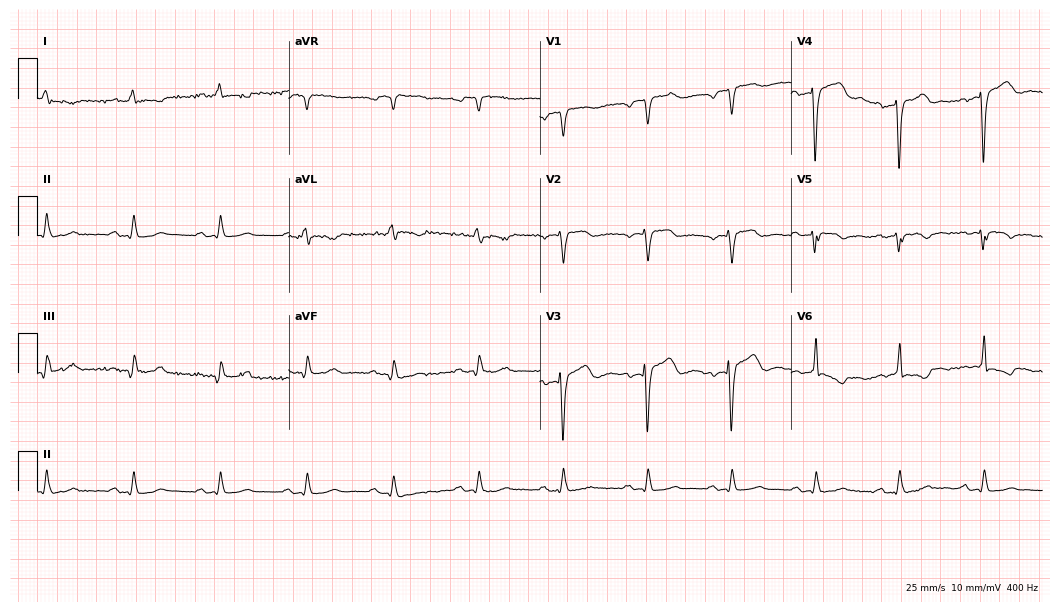
12-lead ECG from a male patient, 80 years old. No first-degree AV block, right bundle branch block, left bundle branch block, sinus bradycardia, atrial fibrillation or sinus tachycardia recorded for this tracing. Findings outside these six are not listed.